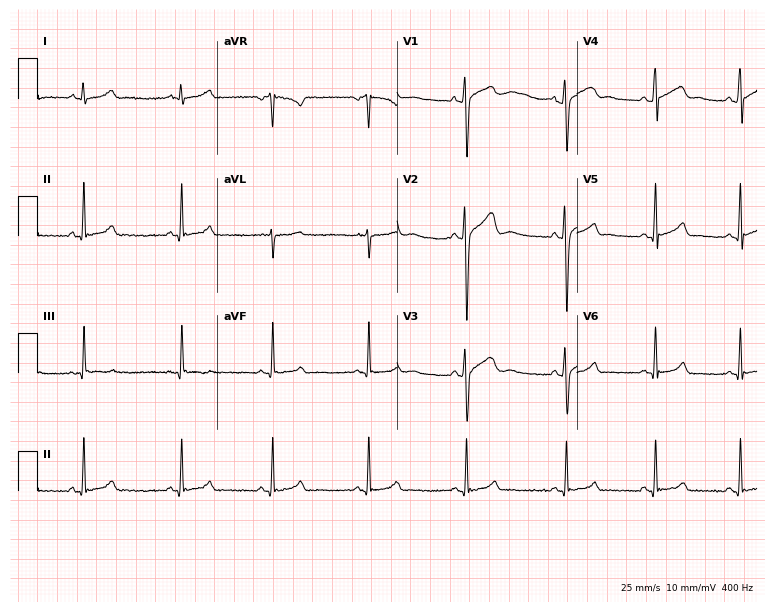
Electrocardiogram, a 28-year-old male patient. Of the six screened findings (first-degree AV block, right bundle branch block, left bundle branch block, sinus bradycardia, atrial fibrillation, sinus tachycardia), none is recorded.